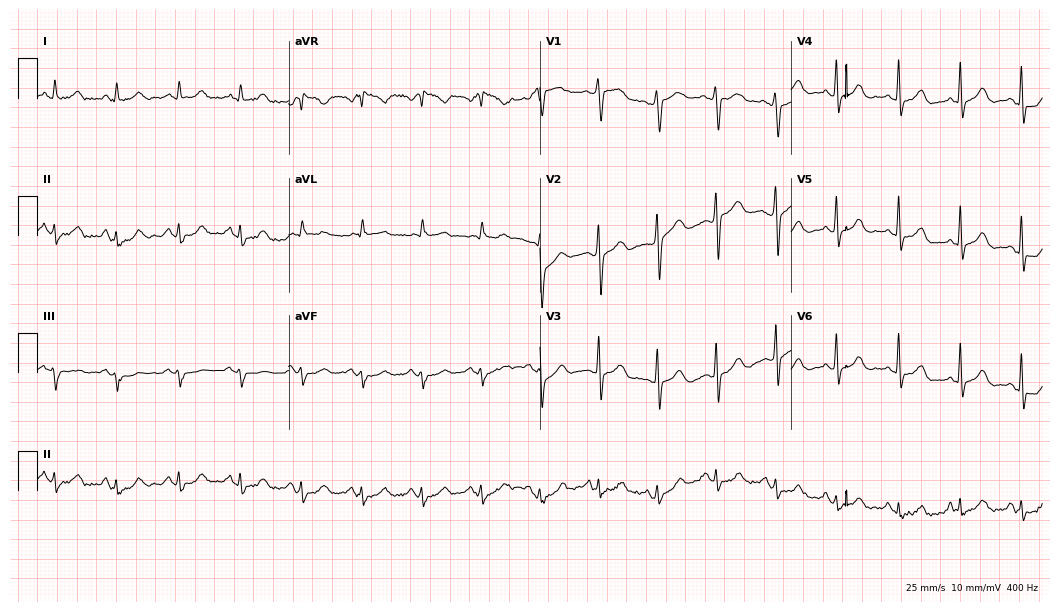
12-lead ECG from a 72-year-old man. Labelled as a normal ECG.